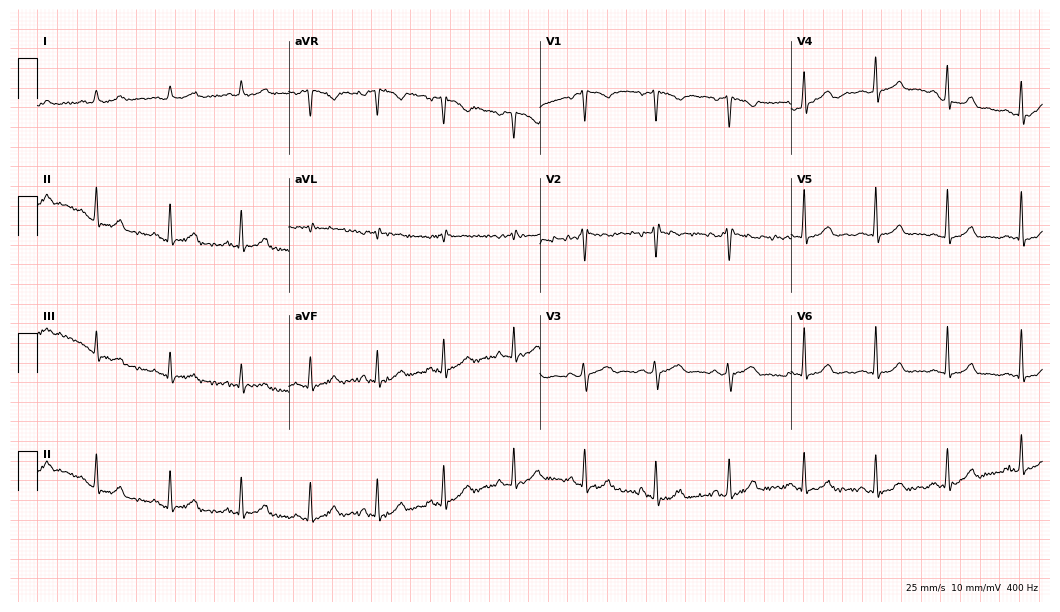
ECG (10.2-second recording at 400 Hz) — a woman, 52 years old. Screened for six findings — first-degree AV block, right bundle branch block, left bundle branch block, sinus bradycardia, atrial fibrillation, sinus tachycardia — none is recorded. Findings outside these six are not listed.